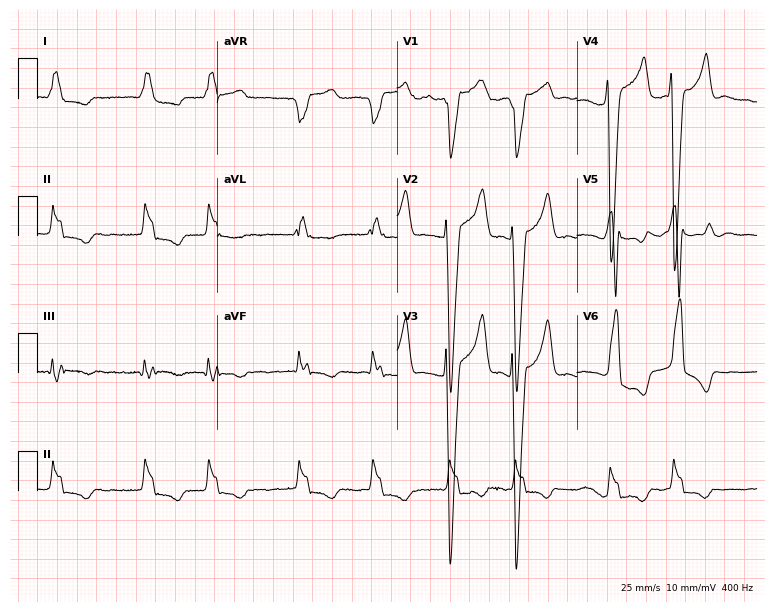
12-lead ECG from a woman, 74 years old. Findings include left bundle branch block, atrial fibrillation.